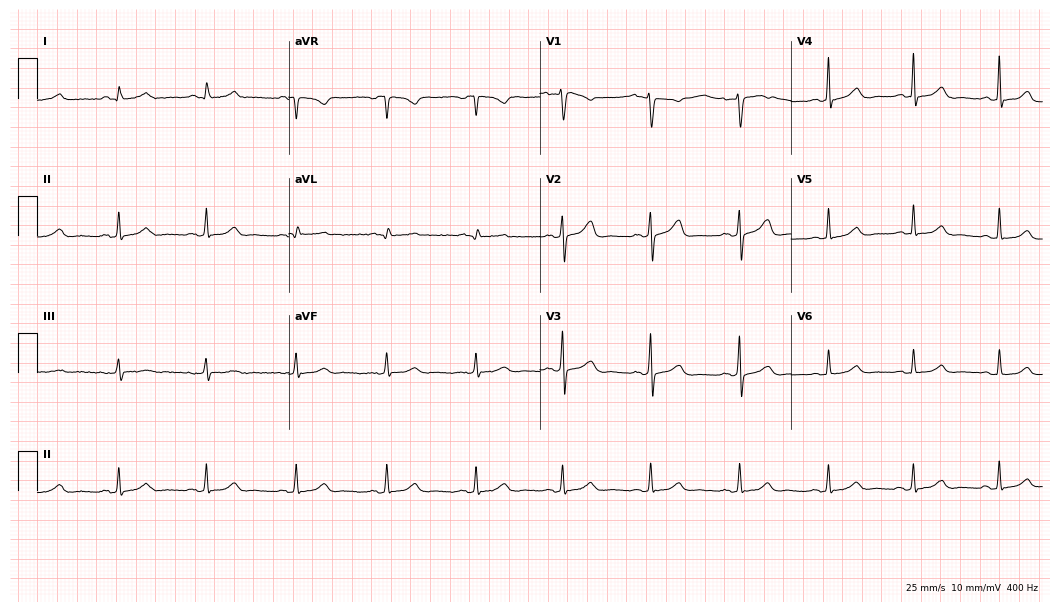
ECG — a 46-year-old woman. Labelled as a normal ECG.